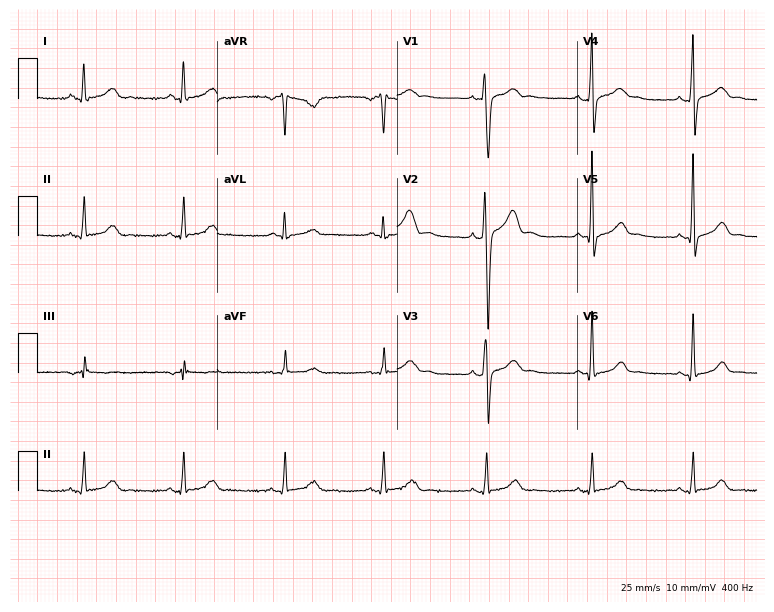
ECG — a man, 35 years old. Screened for six findings — first-degree AV block, right bundle branch block (RBBB), left bundle branch block (LBBB), sinus bradycardia, atrial fibrillation (AF), sinus tachycardia — none is recorded.